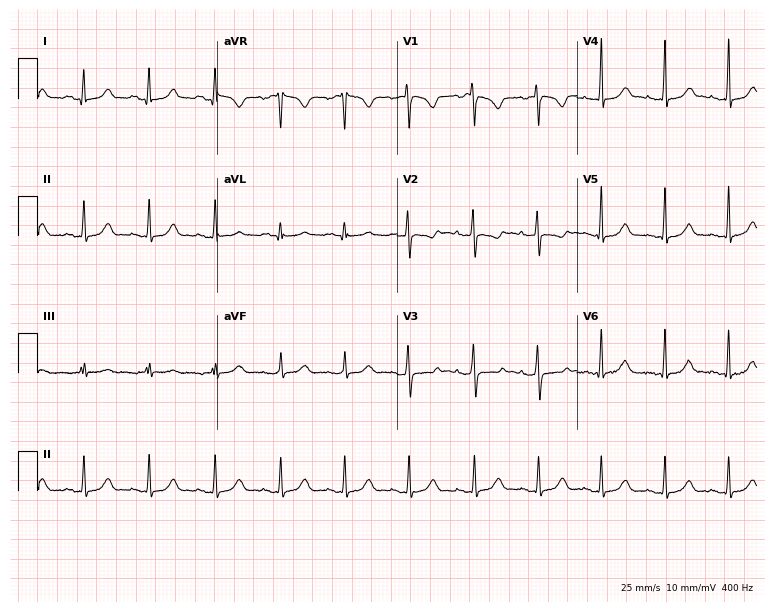
ECG — a woman, 27 years old. Labelled as a normal ECG.